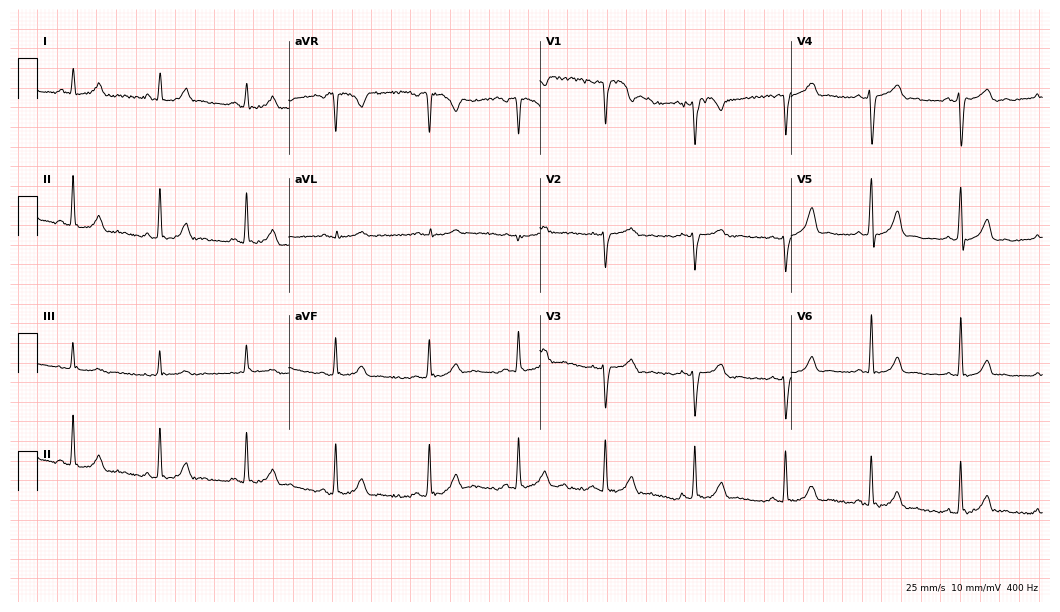
Resting 12-lead electrocardiogram (10.2-second recording at 400 Hz). Patient: a female, 23 years old. None of these six findings is recorded: first-degree AV block, right bundle branch block, left bundle branch block, sinus bradycardia, atrial fibrillation, sinus tachycardia. Only these six findings were labelled.